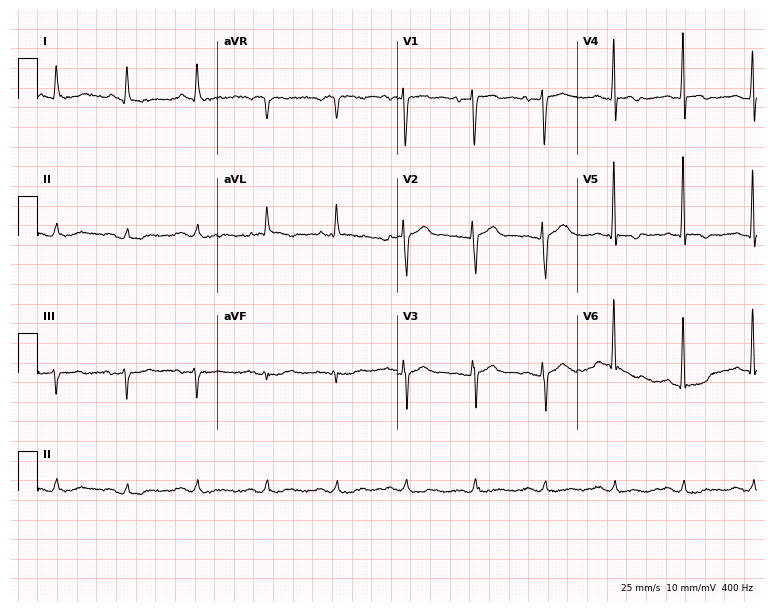
Resting 12-lead electrocardiogram. Patient: a male, 67 years old. Read as a normal ECG.